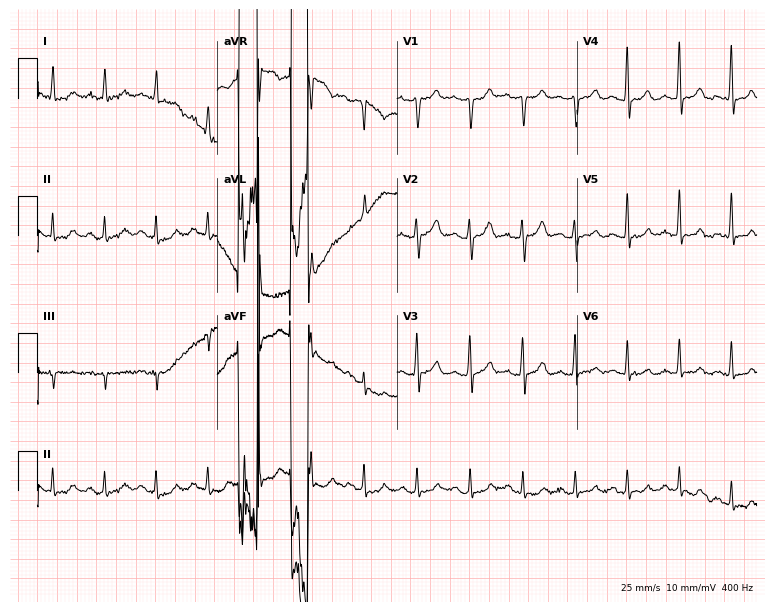
Standard 12-lead ECG recorded from a man, 59 years old (7.3-second recording at 400 Hz). None of these six findings is recorded: first-degree AV block, right bundle branch block, left bundle branch block, sinus bradycardia, atrial fibrillation, sinus tachycardia.